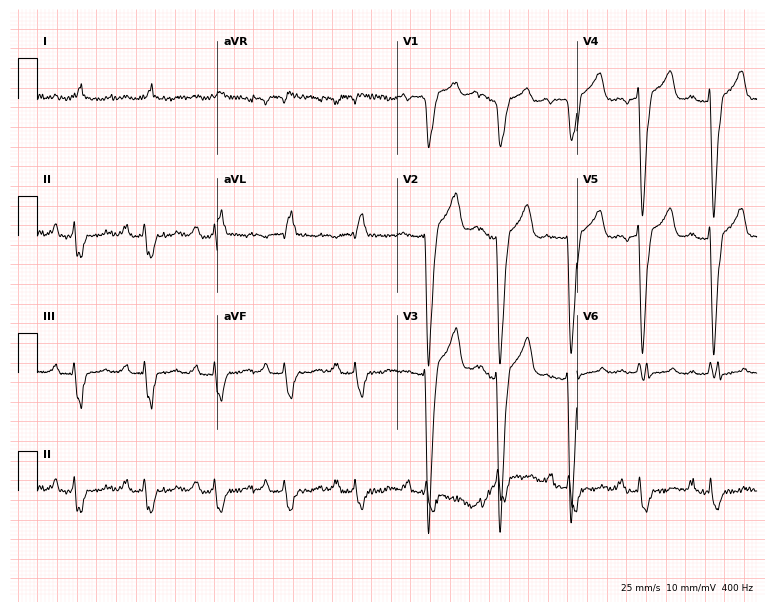
12-lead ECG from an 83-year-old male patient. Findings include first-degree AV block, left bundle branch block.